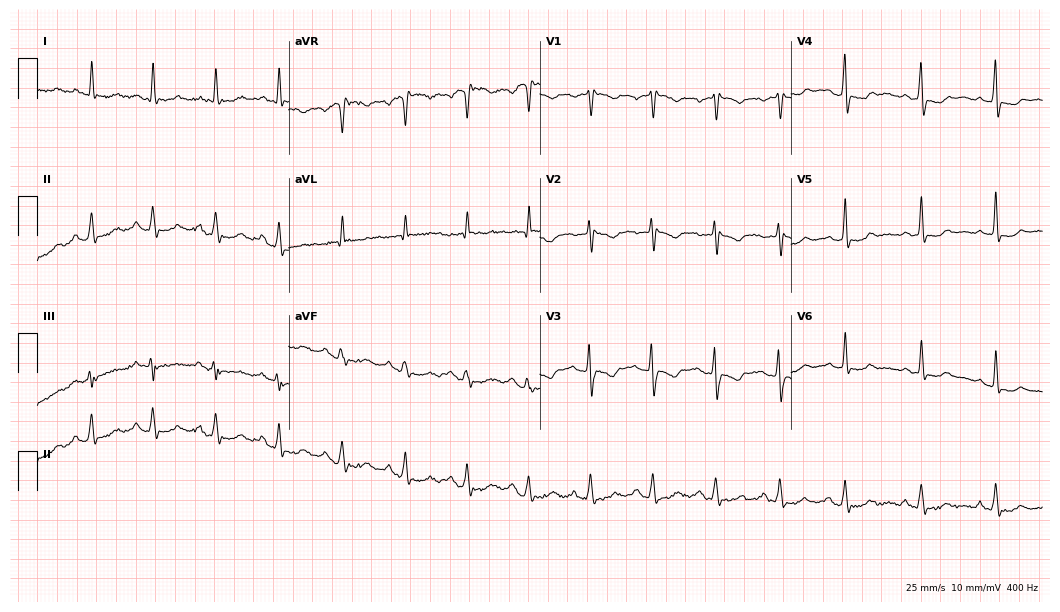
Standard 12-lead ECG recorded from a female, 52 years old (10.2-second recording at 400 Hz). None of these six findings is recorded: first-degree AV block, right bundle branch block (RBBB), left bundle branch block (LBBB), sinus bradycardia, atrial fibrillation (AF), sinus tachycardia.